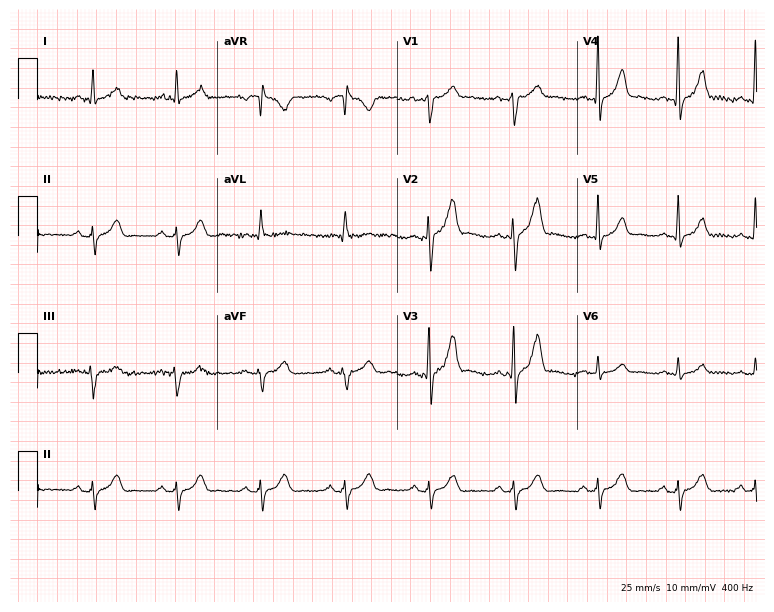
ECG (7.3-second recording at 400 Hz) — a 55-year-old man. Screened for six findings — first-degree AV block, right bundle branch block, left bundle branch block, sinus bradycardia, atrial fibrillation, sinus tachycardia — none is recorded.